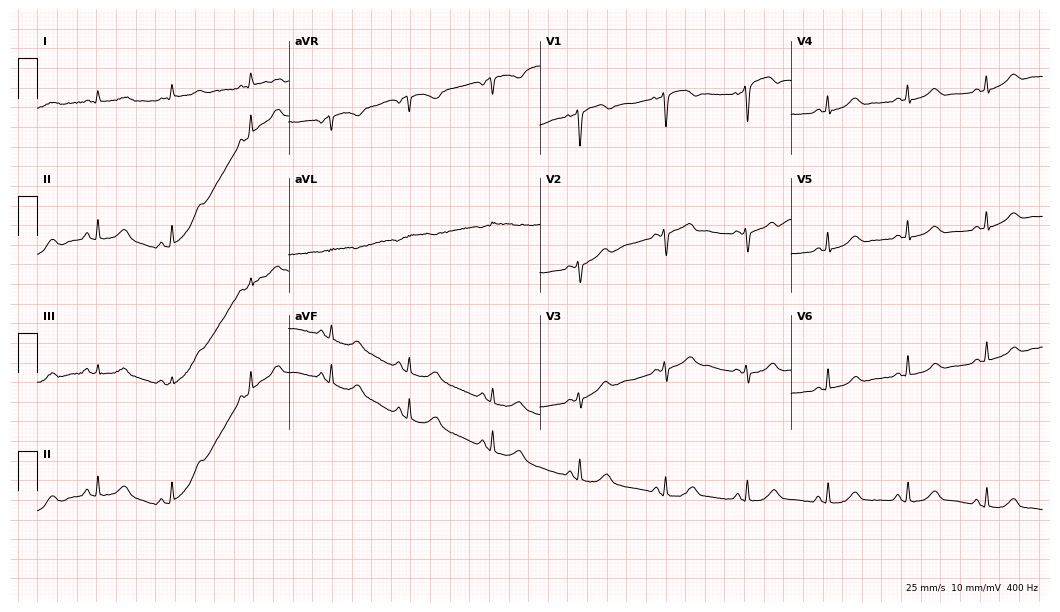
ECG — a 39-year-old female. Screened for six findings — first-degree AV block, right bundle branch block, left bundle branch block, sinus bradycardia, atrial fibrillation, sinus tachycardia — none is recorded.